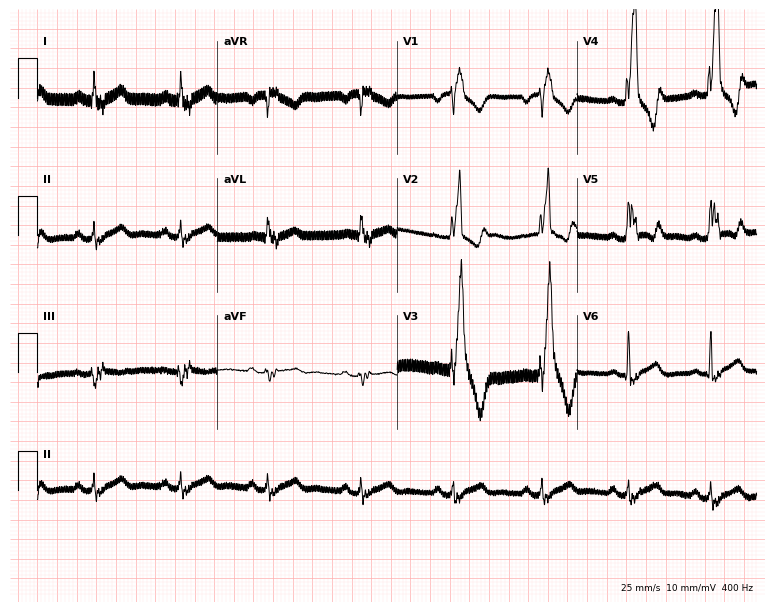
12-lead ECG from a man, 22 years old (7.3-second recording at 400 Hz). Shows right bundle branch block.